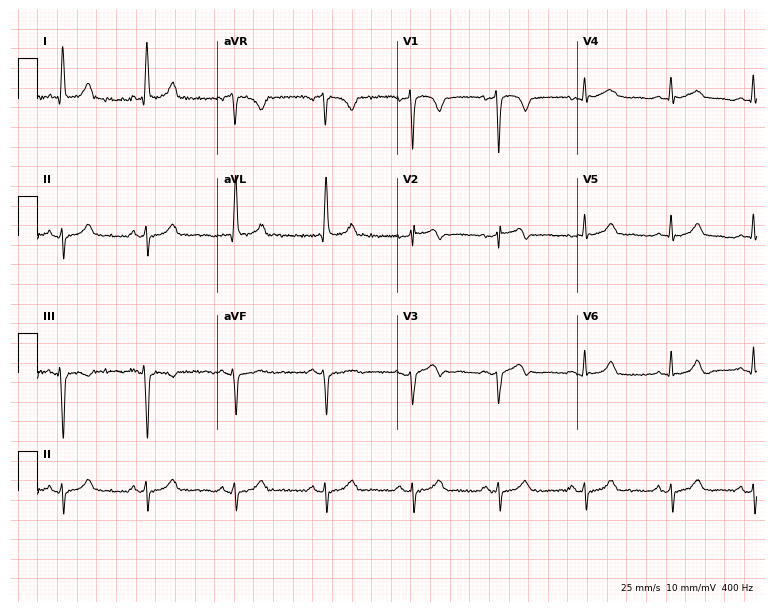
Standard 12-lead ECG recorded from a 40-year-old female patient (7.3-second recording at 400 Hz). None of these six findings is recorded: first-degree AV block, right bundle branch block (RBBB), left bundle branch block (LBBB), sinus bradycardia, atrial fibrillation (AF), sinus tachycardia. Findings outside these six are not listed.